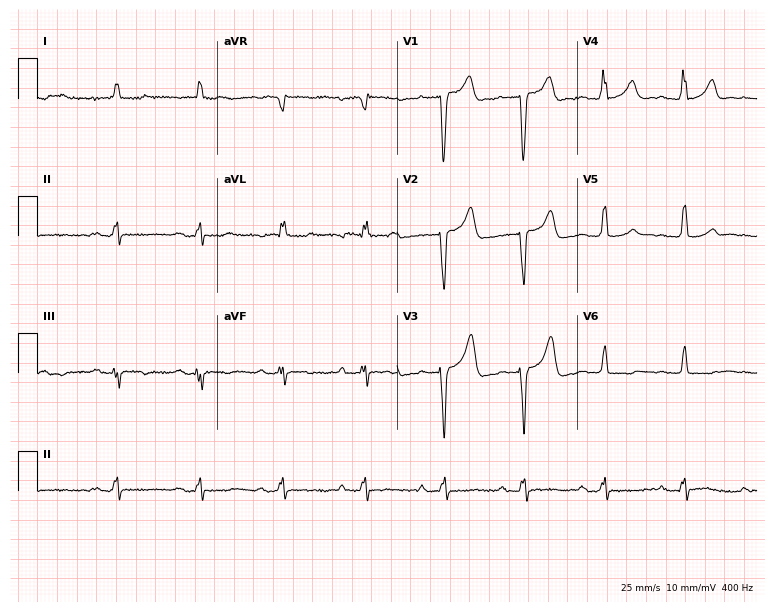
12-lead ECG (7.3-second recording at 400 Hz) from a male patient, 74 years old. Screened for six findings — first-degree AV block, right bundle branch block (RBBB), left bundle branch block (LBBB), sinus bradycardia, atrial fibrillation (AF), sinus tachycardia — none is recorded.